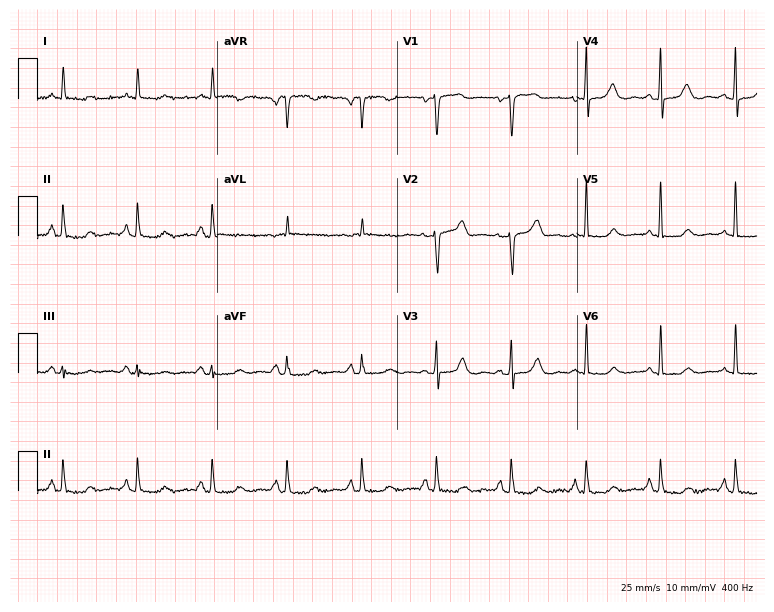
Electrocardiogram, a woman, 76 years old. Overall reading on record: normal ECG.